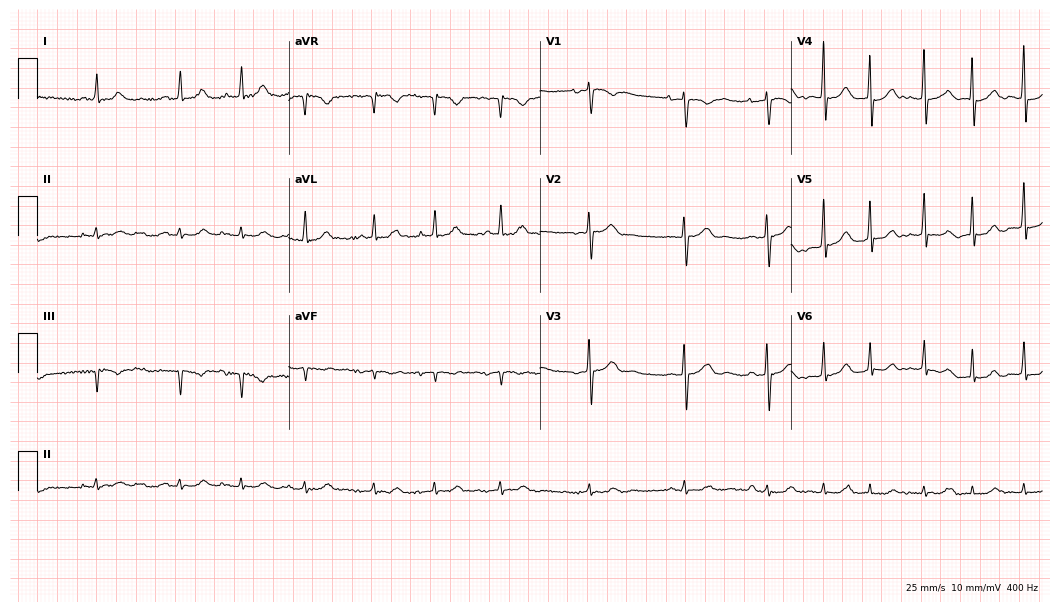
12-lead ECG from a woman, 90 years old or older (10.2-second recording at 400 Hz). No first-degree AV block, right bundle branch block, left bundle branch block, sinus bradycardia, atrial fibrillation or sinus tachycardia recorded for this tracing. Only these six findings were labelled.